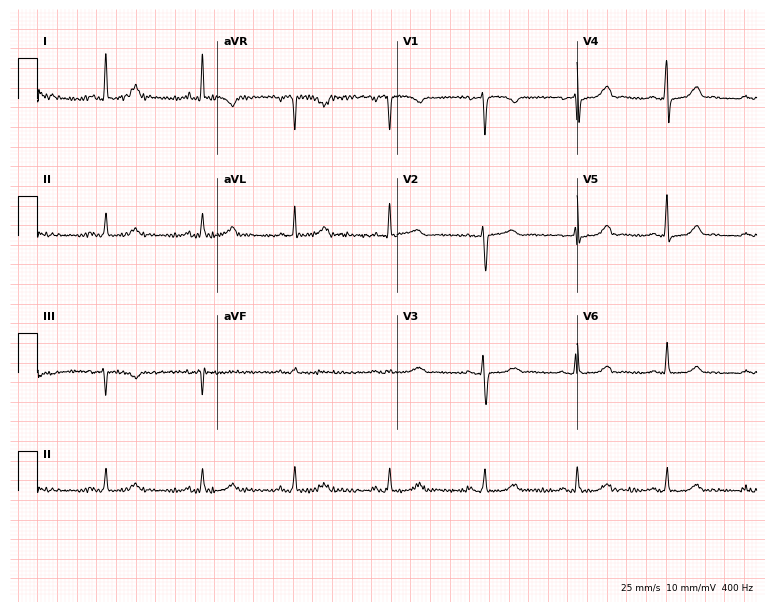
ECG — a 47-year-old female. Labelled as a normal ECG.